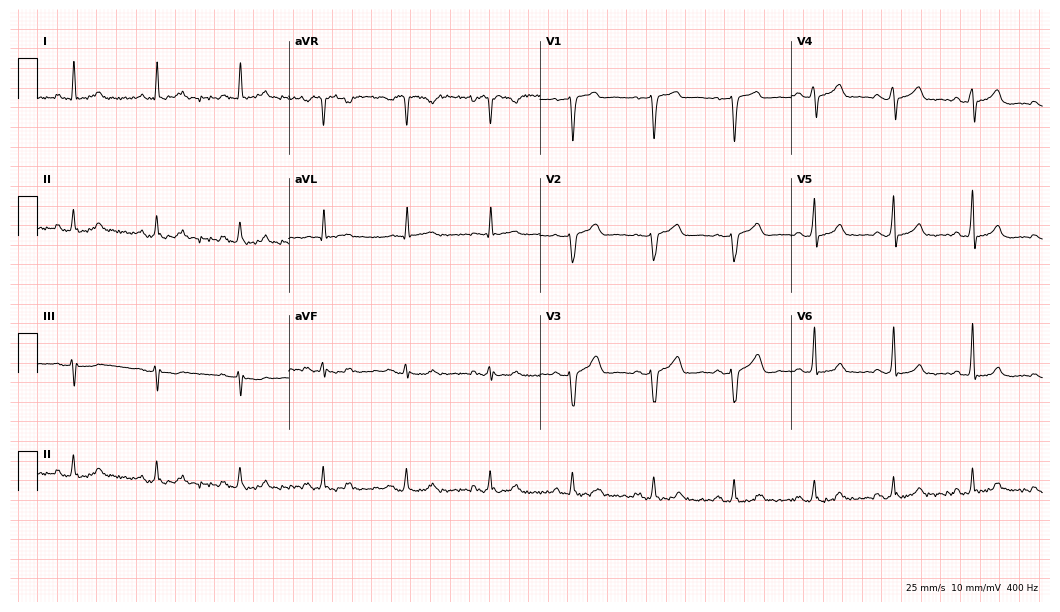
Resting 12-lead electrocardiogram (10.2-second recording at 400 Hz). Patient: a 54-year-old male. Read as a normal ECG.